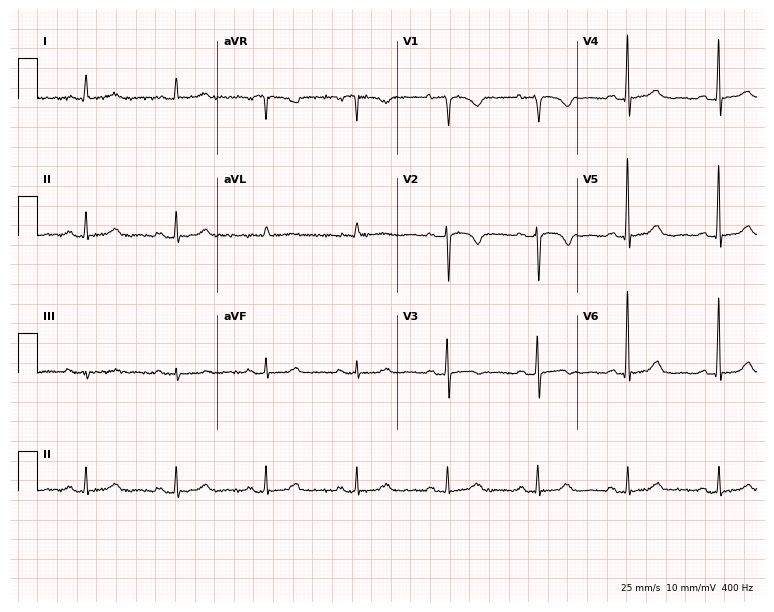
12-lead ECG (7.3-second recording at 400 Hz) from a 65-year-old female. Screened for six findings — first-degree AV block, right bundle branch block, left bundle branch block, sinus bradycardia, atrial fibrillation, sinus tachycardia — none is recorded.